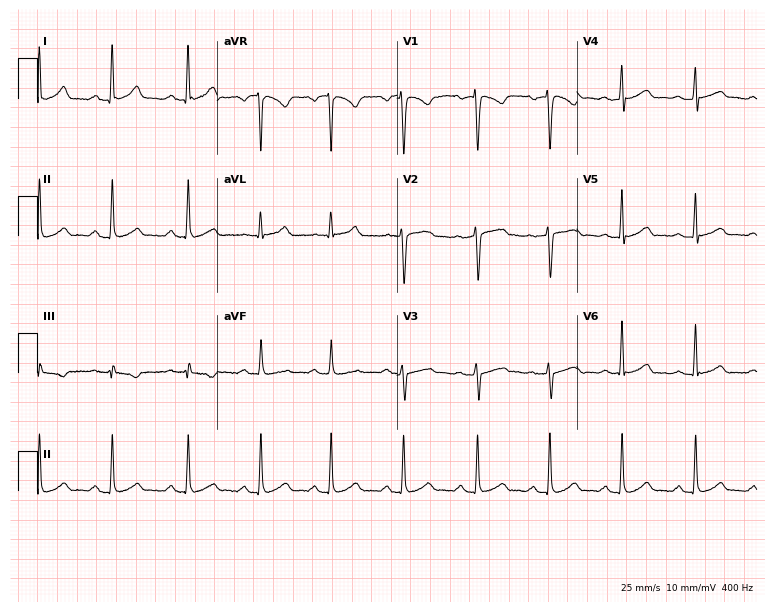
12-lead ECG from a 33-year-old woman. Recorded interpretation: within normal limits.